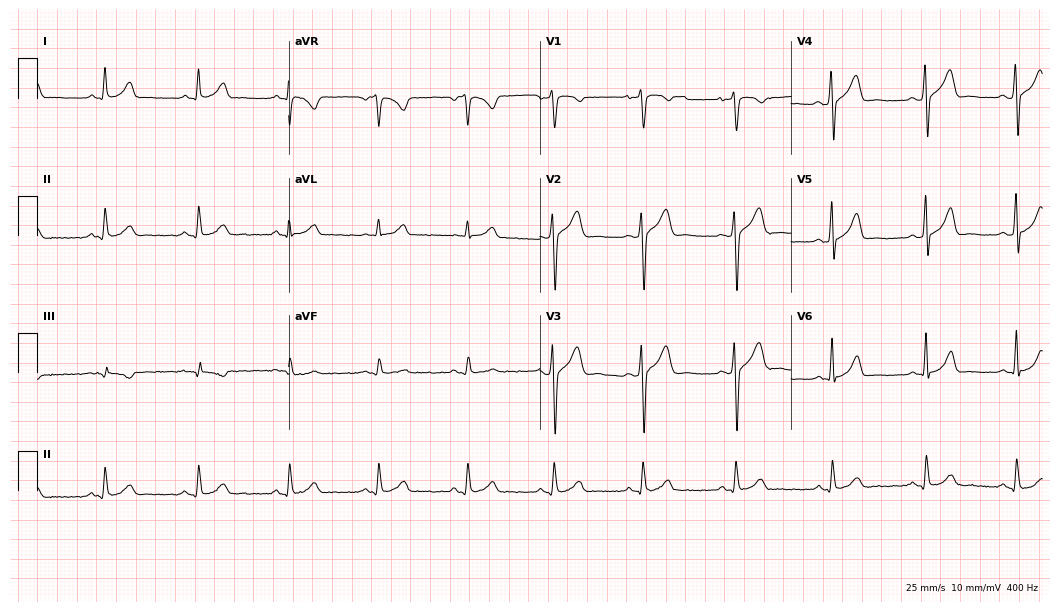
Standard 12-lead ECG recorded from a 38-year-old male patient (10.2-second recording at 400 Hz). None of these six findings is recorded: first-degree AV block, right bundle branch block (RBBB), left bundle branch block (LBBB), sinus bradycardia, atrial fibrillation (AF), sinus tachycardia. Other findings, if any, are not listed.